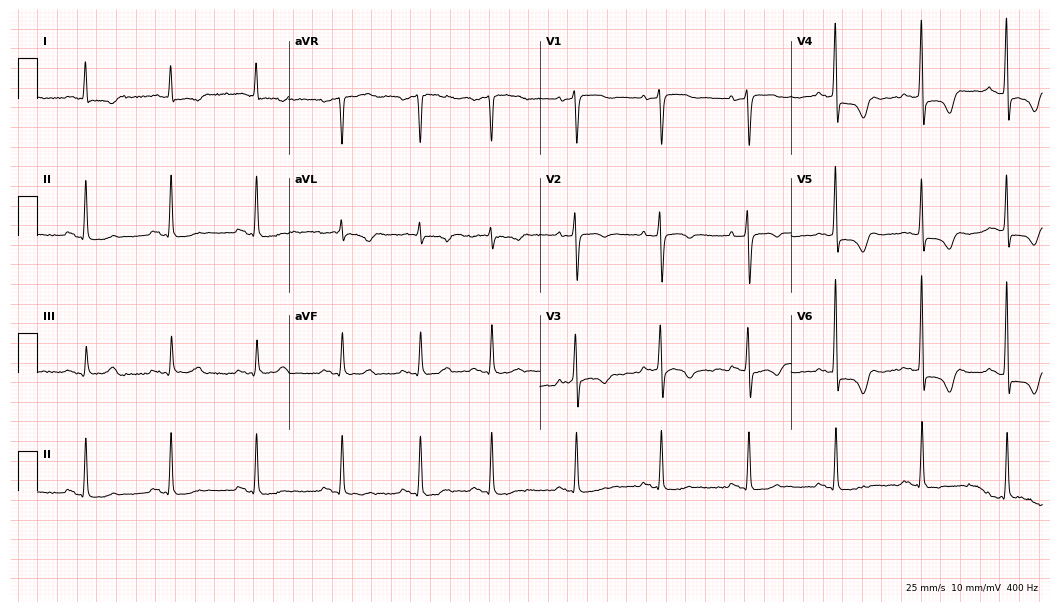
12-lead ECG from a male, 81 years old. Screened for six findings — first-degree AV block, right bundle branch block, left bundle branch block, sinus bradycardia, atrial fibrillation, sinus tachycardia — none is recorded. Only these six findings were labelled.